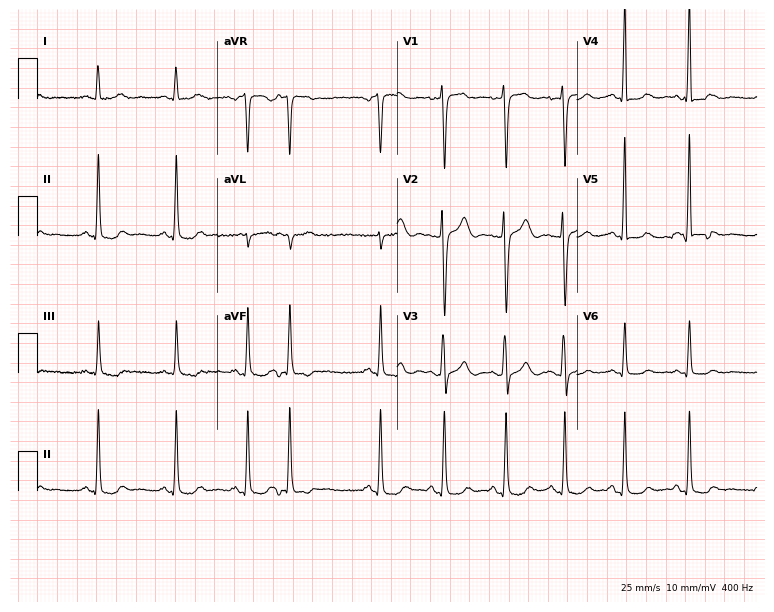
12-lead ECG from a female, 29 years old. No first-degree AV block, right bundle branch block (RBBB), left bundle branch block (LBBB), sinus bradycardia, atrial fibrillation (AF) or sinus tachycardia recorded for this tracing. Findings outside these six are not listed.